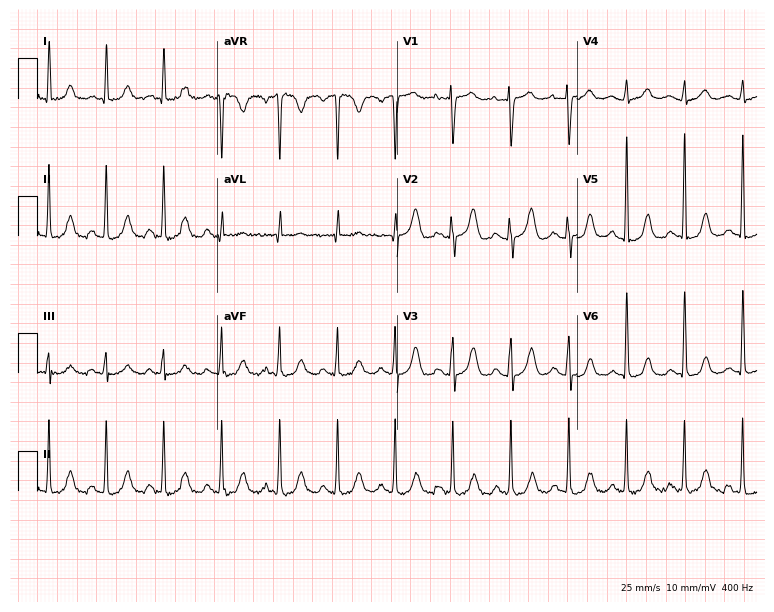
ECG (7.3-second recording at 400 Hz) — a 78-year-old female patient. Findings include sinus tachycardia (a sinus rate of 100 beats per minute or more).